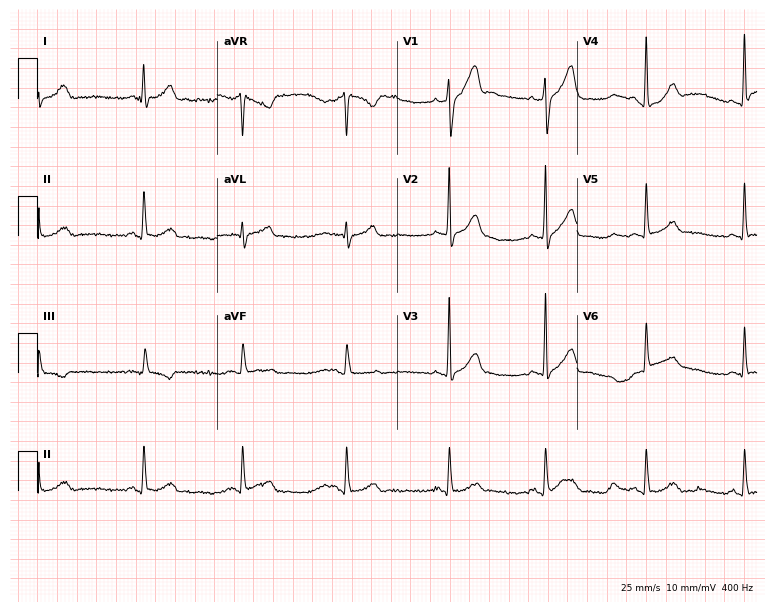
Electrocardiogram, a 52-year-old male patient. Of the six screened findings (first-degree AV block, right bundle branch block, left bundle branch block, sinus bradycardia, atrial fibrillation, sinus tachycardia), none is recorded.